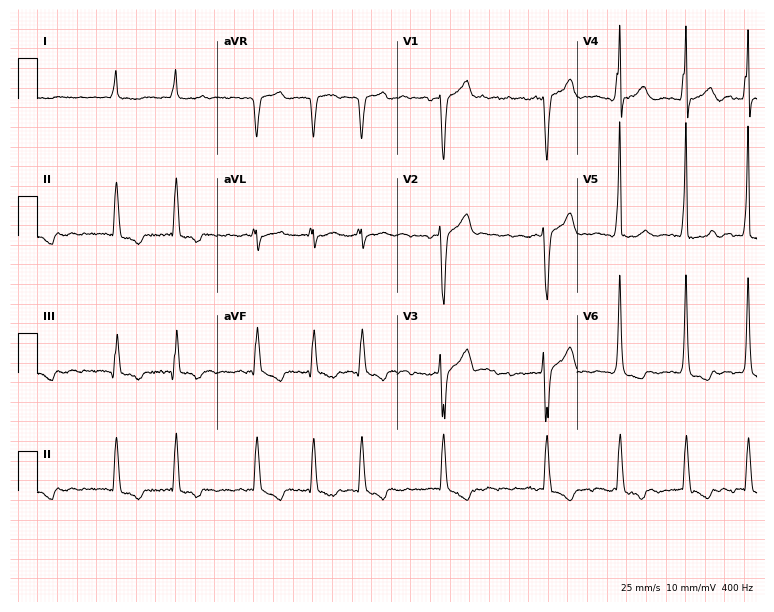
ECG — a 47-year-old male. Findings include atrial fibrillation.